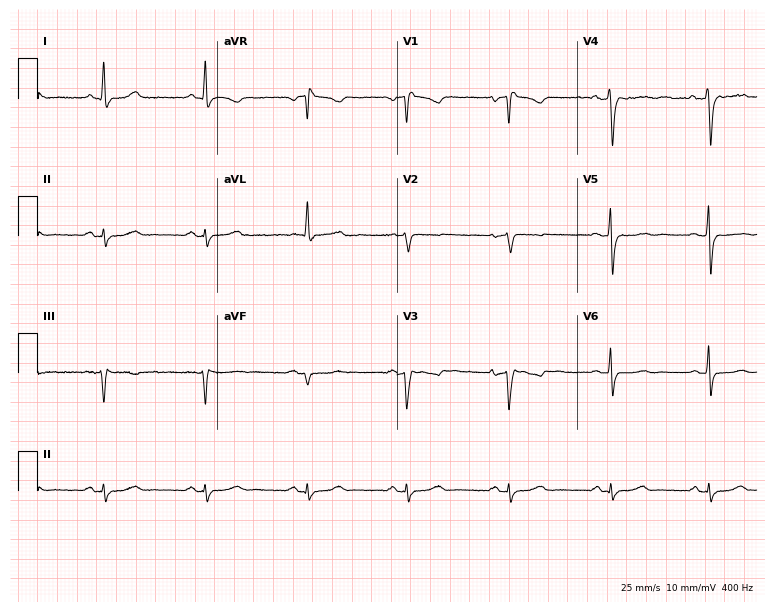
Standard 12-lead ECG recorded from a 53-year-old female patient (7.3-second recording at 400 Hz). None of these six findings is recorded: first-degree AV block, right bundle branch block, left bundle branch block, sinus bradycardia, atrial fibrillation, sinus tachycardia.